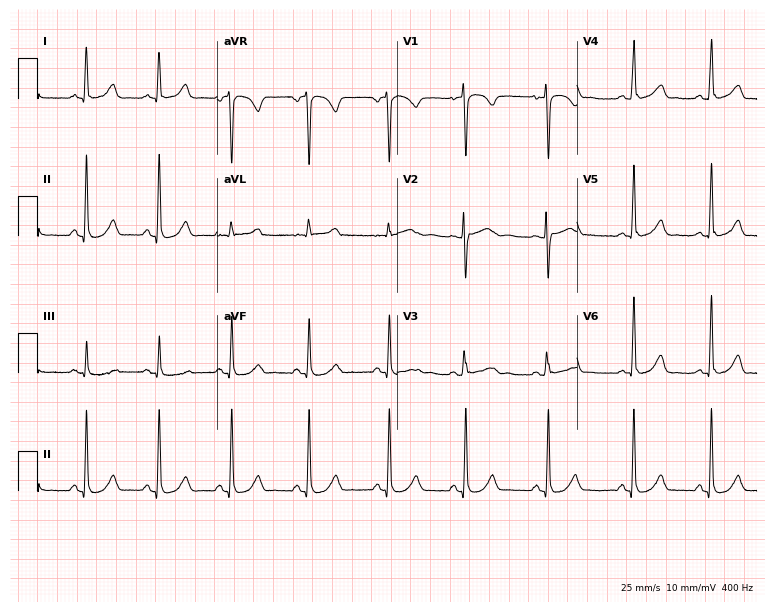
12-lead ECG from a female, 21 years old. Labelled as a normal ECG.